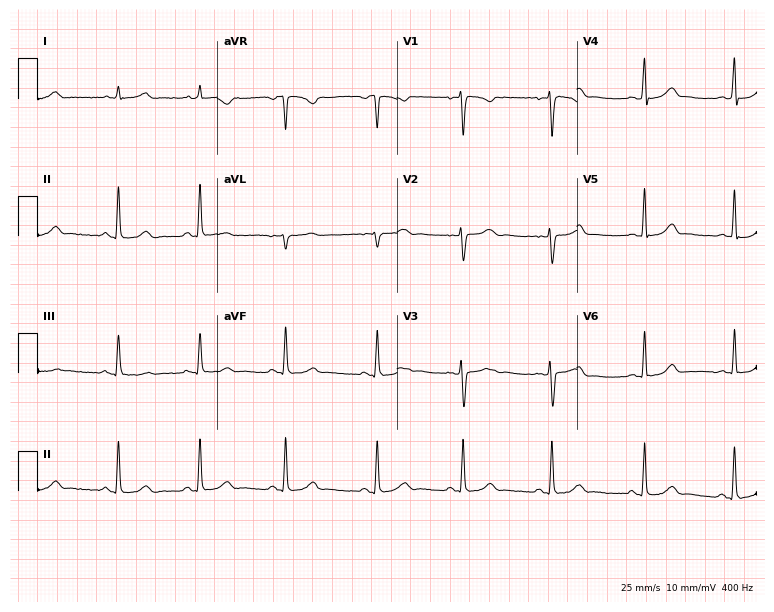
12-lead ECG (7.3-second recording at 400 Hz) from a 25-year-old female patient. Screened for six findings — first-degree AV block, right bundle branch block (RBBB), left bundle branch block (LBBB), sinus bradycardia, atrial fibrillation (AF), sinus tachycardia — none is recorded.